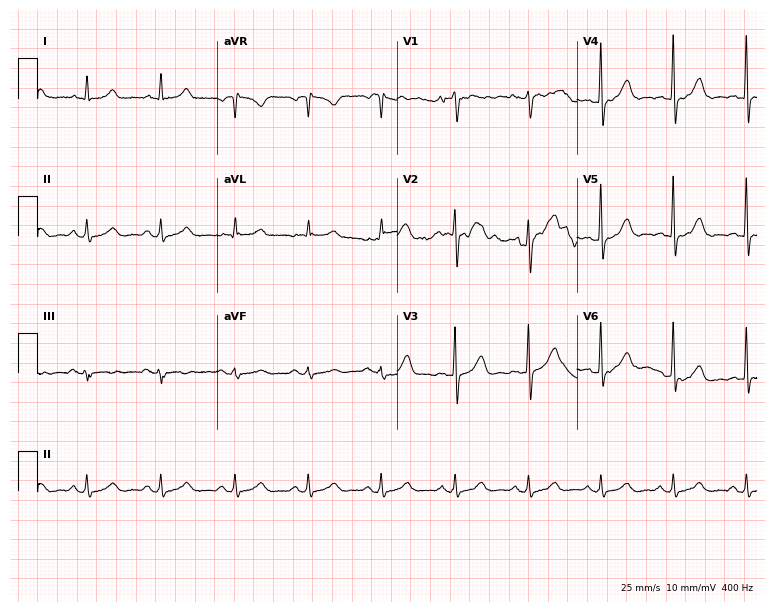
12-lead ECG from a 48-year-old female (7.3-second recording at 400 Hz). Recorded interpretation: within normal limits.